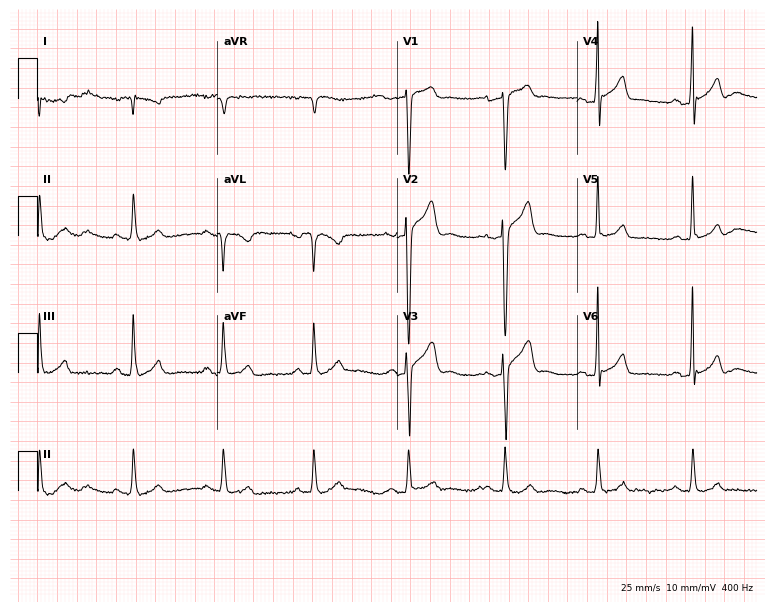
Resting 12-lead electrocardiogram (7.3-second recording at 400 Hz). Patient: a male, 35 years old. None of these six findings is recorded: first-degree AV block, right bundle branch block, left bundle branch block, sinus bradycardia, atrial fibrillation, sinus tachycardia. Only these six findings were labelled.